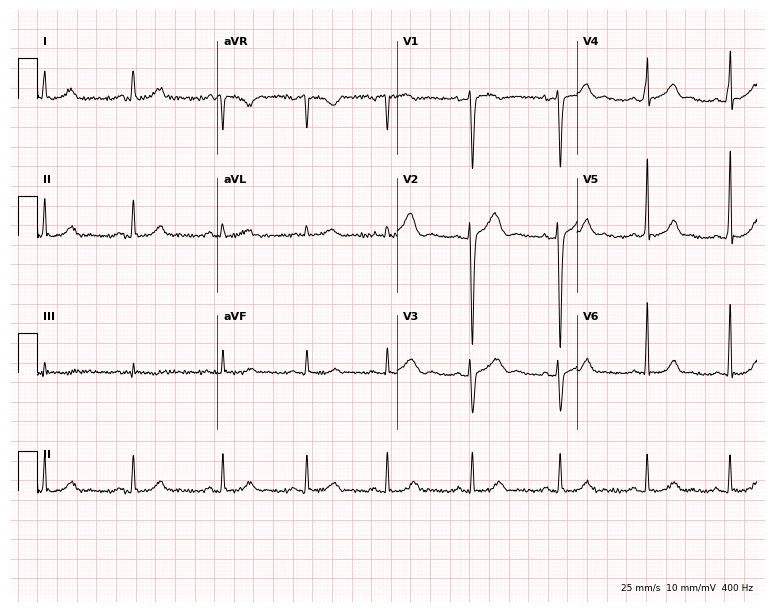
12-lead ECG from a 34-year-old female (7.3-second recording at 400 Hz). Recorded interpretation: within normal limits.